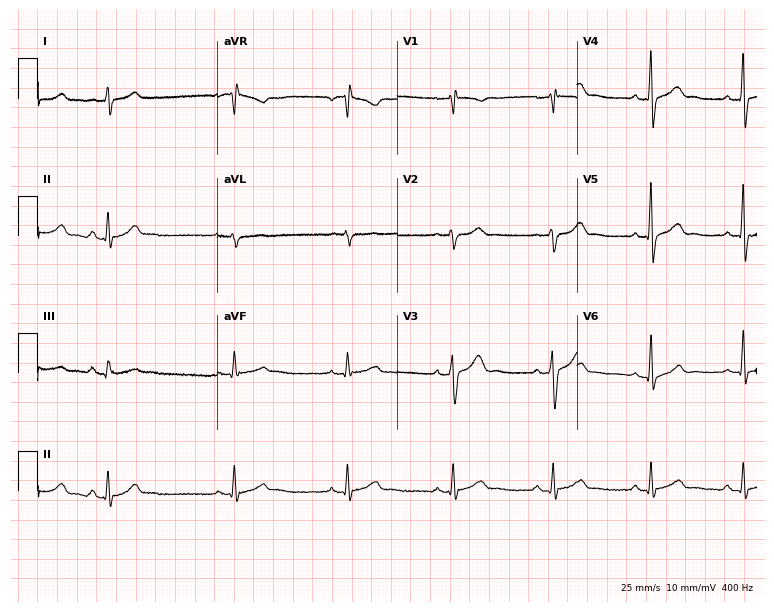
Standard 12-lead ECG recorded from a 30-year-old male. Read as a normal ECG.